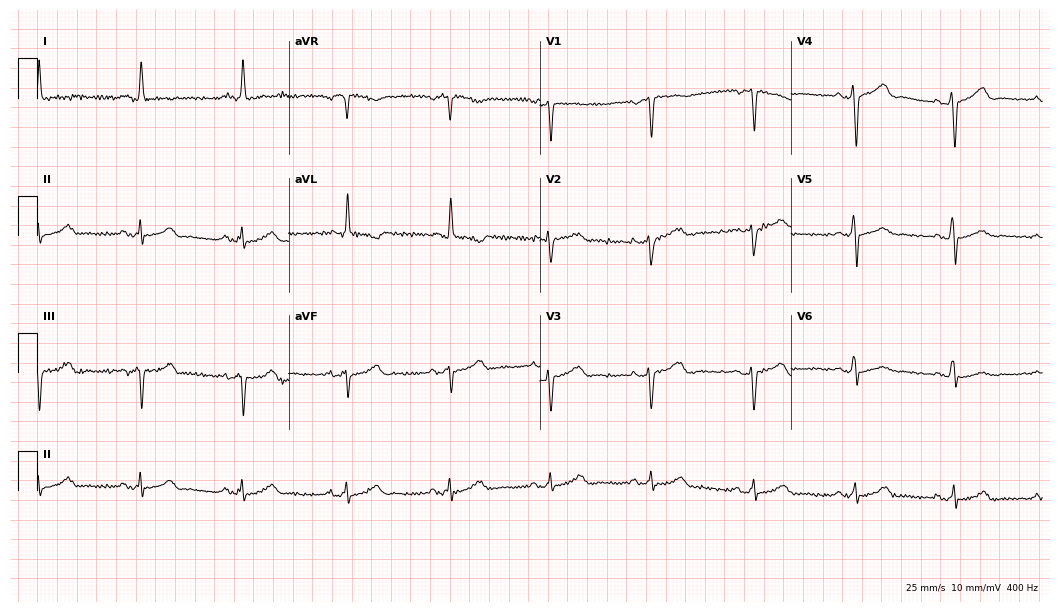
12-lead ECG from a 56-year-old female patient. Screened for six findings — first-degree AV block, right bundle branch block, left bundle branch block, sinus bradycardia, atrial fibrillation, sinus tachycardia — none is recorded. Findings outside these six are not listed.